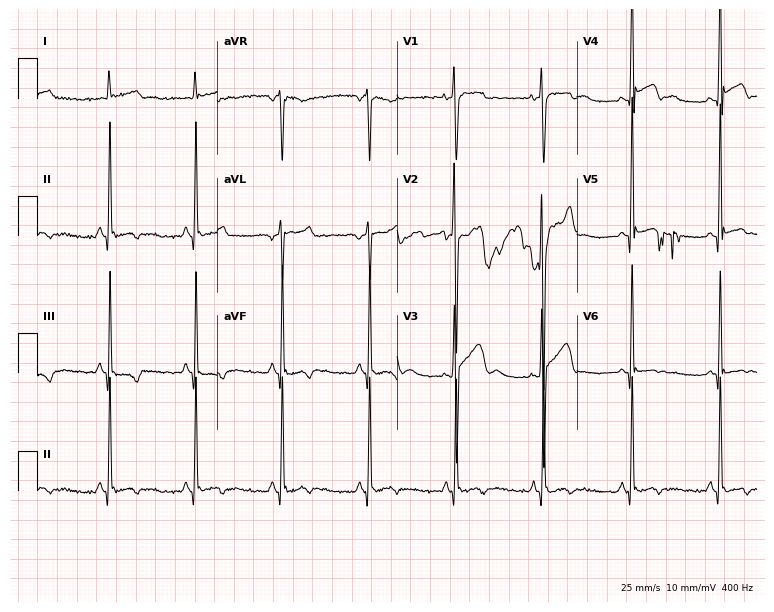
12-lead ECG from an 18-year-old man. Recorded interpretation: within normal limits.